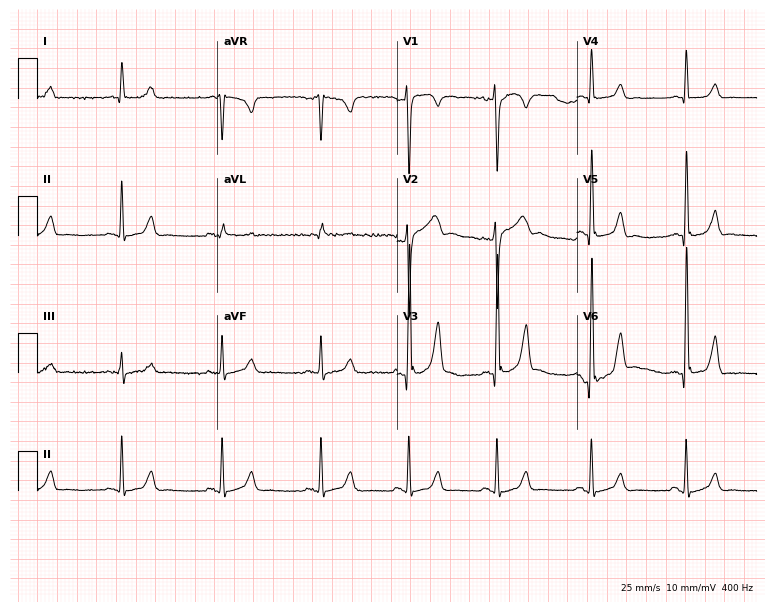
Electrocardiogram, a male, 42 years old. Of the six screened findings (first-degree AV block, right bundle branch block, left bundle branch block, sinus bradycardia, atrial fibrillation, sinus tachycardia), none is recorded.